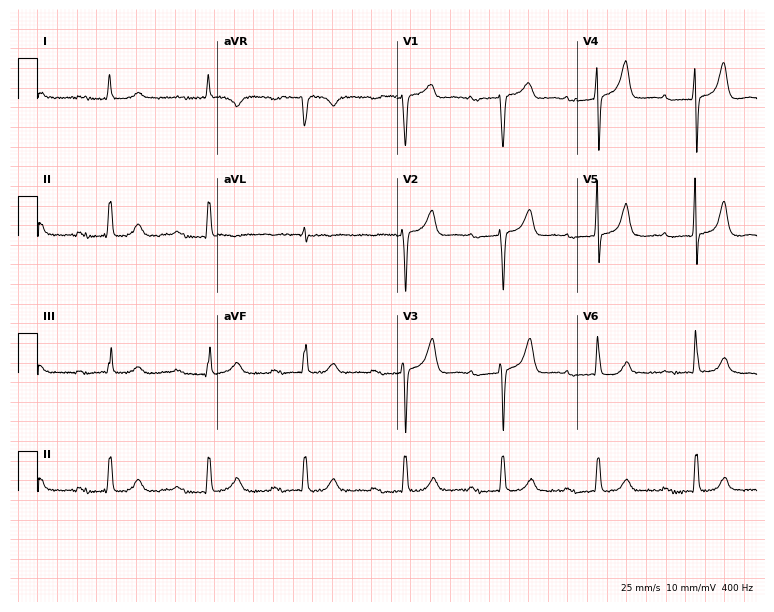
Electrocardiogram, a female patient, 82 years old. Interpretation includes first-degree AV block.